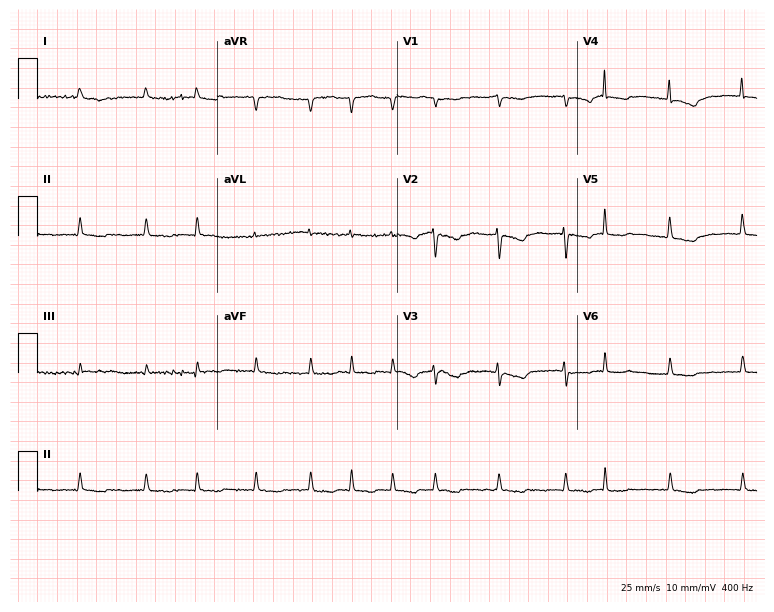
Electrocardiogram (7.3-second recording at 400 Hz), a female, 76 years old. Interpretation includes atrial fibrillation (AF).